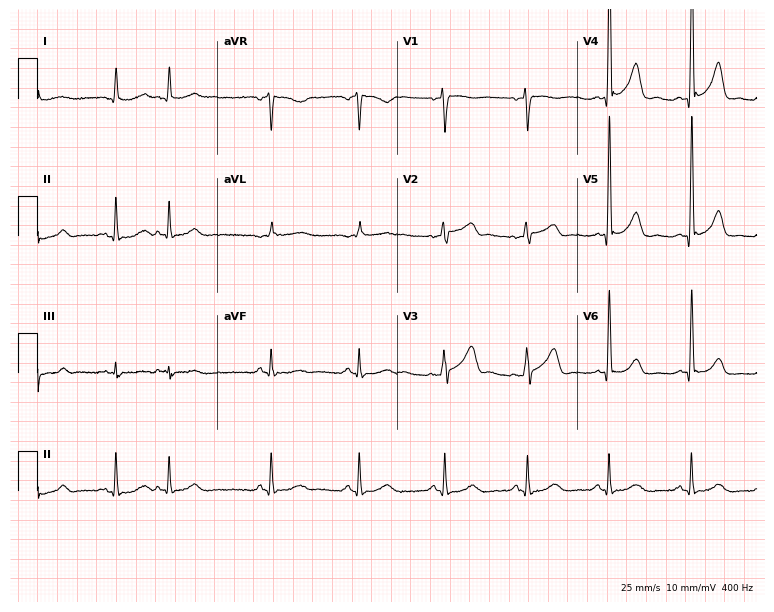
ECG (7.3-second recording at 400 Hz) — a male patient, 62 years old. Screened for six findings — first-degree AV block, right bundle branch block, left bundle branch block, sinus bradycardia, atrial fibrillation, sinus tachycardia — none is recorded.